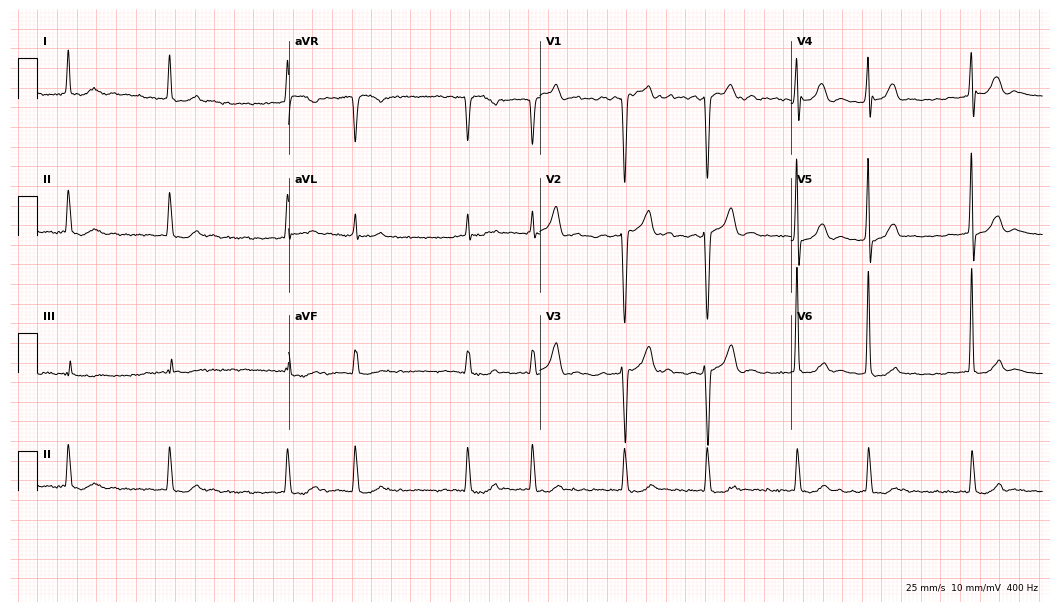
12-lead ECG from a 73-year-old male patient (10.2-second recording at 400 Hz). Shows atrial fibrillation (AF).